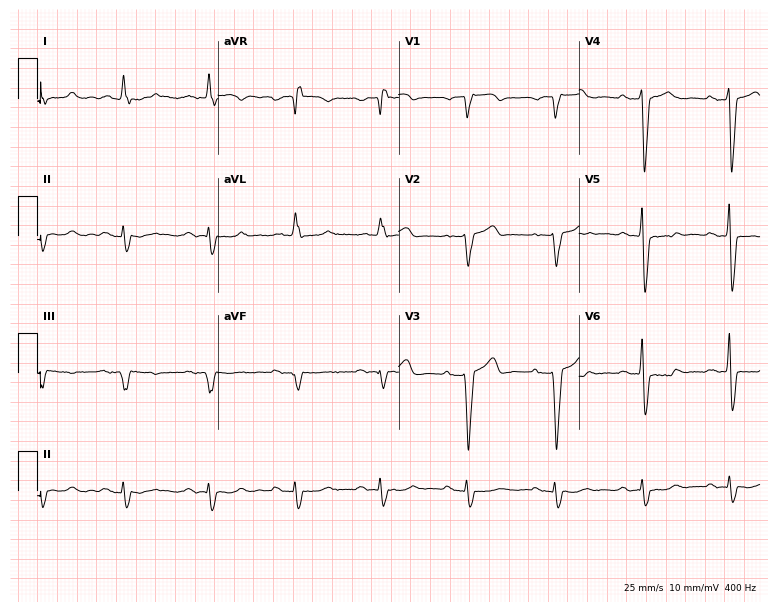
12-lead ECG from a 76-year-old male. Screened for six findings — first-degree AV block, right bundle branch block (RBBB), left bundle branch block (LBBB), sinus bradycardia, atrial fibrillation (AF), sinus tachycardia — none is recorded. Only these six findings were labelled.